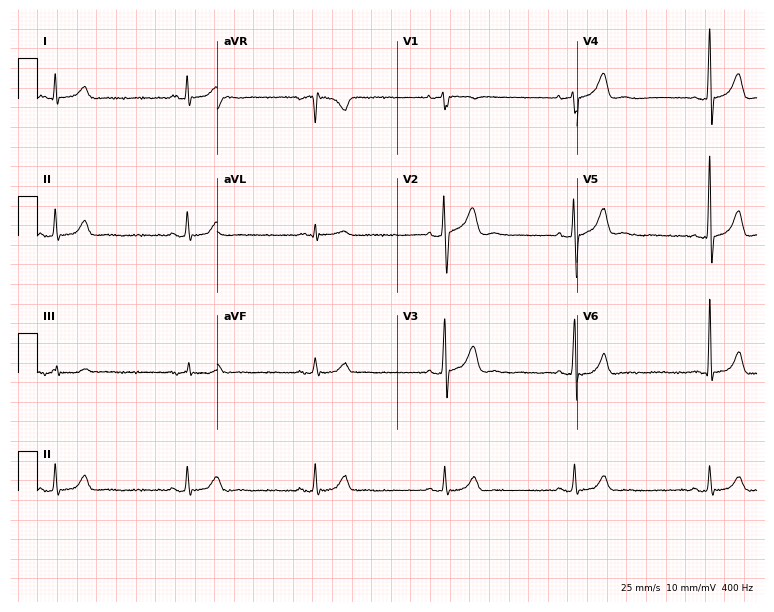
Electrocardiogram, a man, 37 years old. Interpretation includes sinus bradycardia (a sinus rate of 50 beats per minute or less).